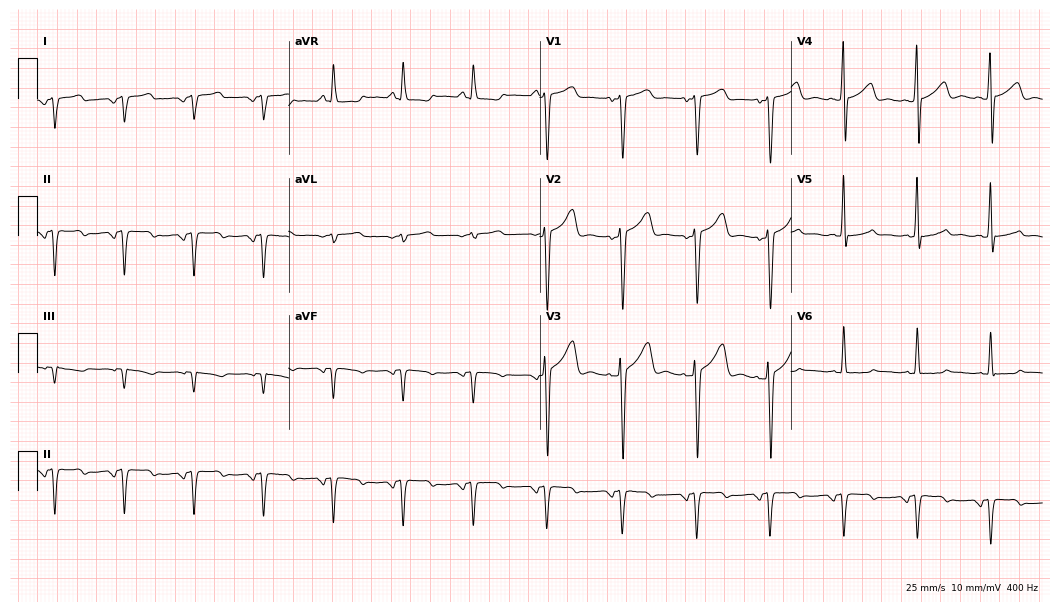
Standard 12-lead ECG recorded from a male, 35 years old. None of these six findings is recorded: first-degree AV block, right bundle branch block, left bundle branch block, sinus bradycardia, atrial fibrillation, sinus tachycardia. Only these six findings were labelled.